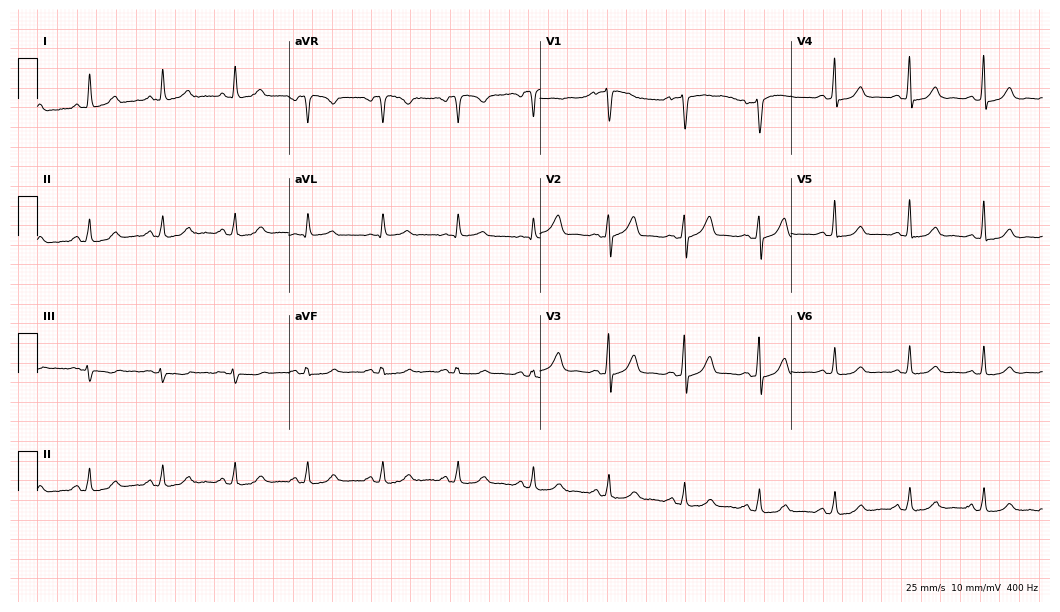
Standard 12-lead ECG recorded from a woman, 60 years old. Read as a normal ECG.